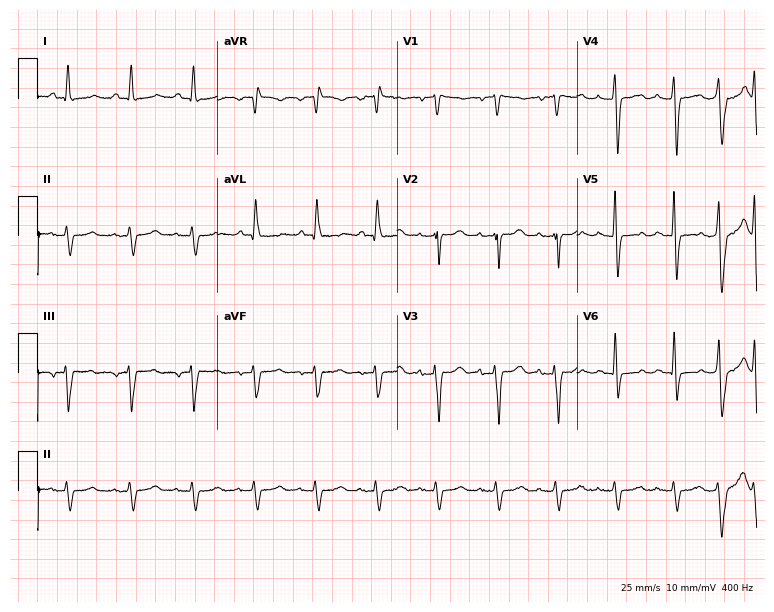
12-lead ECG from an 82-year-old male patient. No first-degree AV block, right bundle branch block (RBBB), left bundle branch block (LBBB), sinus bradycardia, atrial fibrillation (AF) or sinus tachycardia recorded for this tracing.